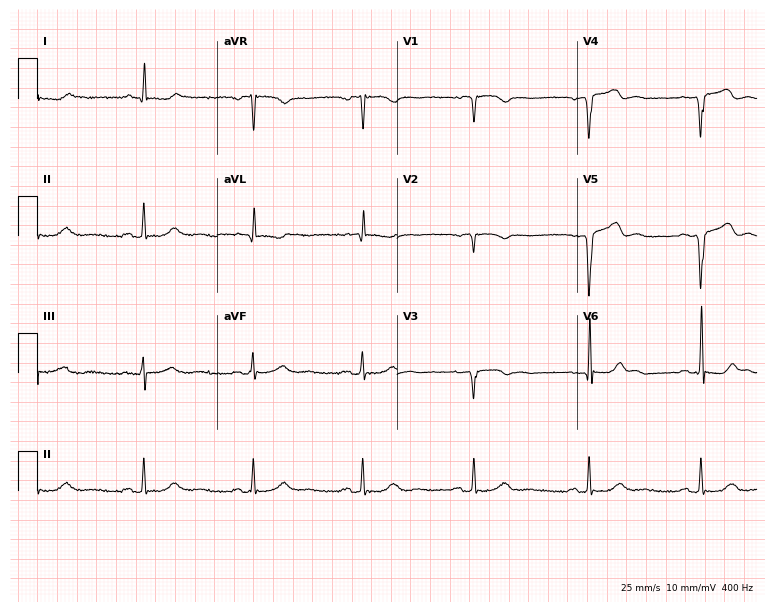
12-lead ECG (7.3-second recording at 400 Hz) from a 57-year-old male. Screened for six findings — first-degree AV block, right bundle branch block, left bundle branch block, sinus bradycardia, atrial fibrillation, sinus tachycardia — none is recorded. Findings outside these six are not listed.